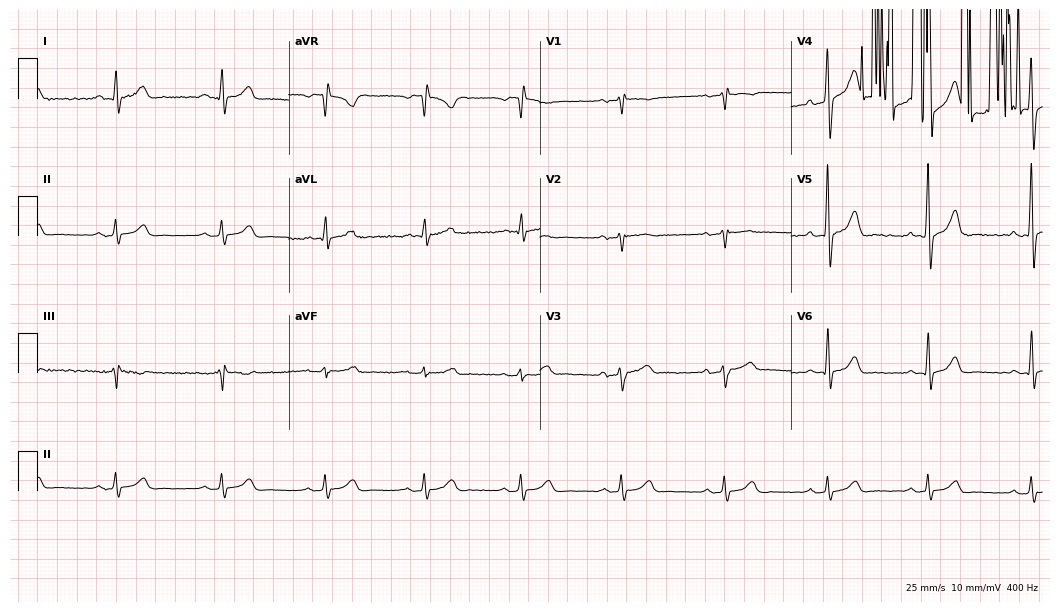
Resting 12-lead electrocardiogram. Patient: a 54-year-old man. None of these six findings is recorded: first-degree AV block, right bundle branch block, left bundle branch block, sinus bradycardia, atrial fibrillation, sinus tachycardia.